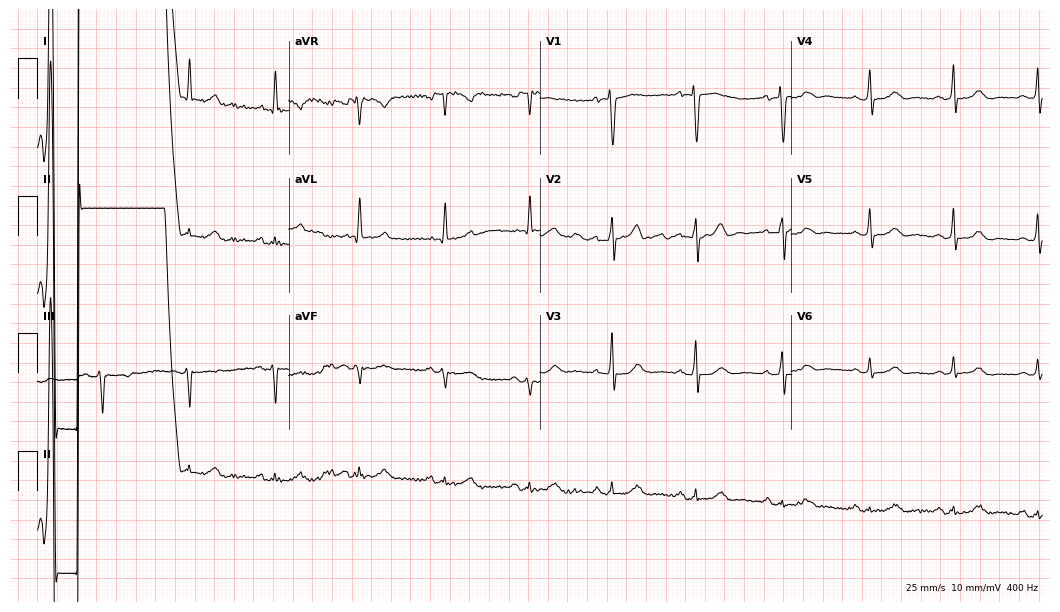
12-lead ECG from a 77-year-old female (10.2-second recording at 400 Hz). Recorded interpretation: within normal limits.